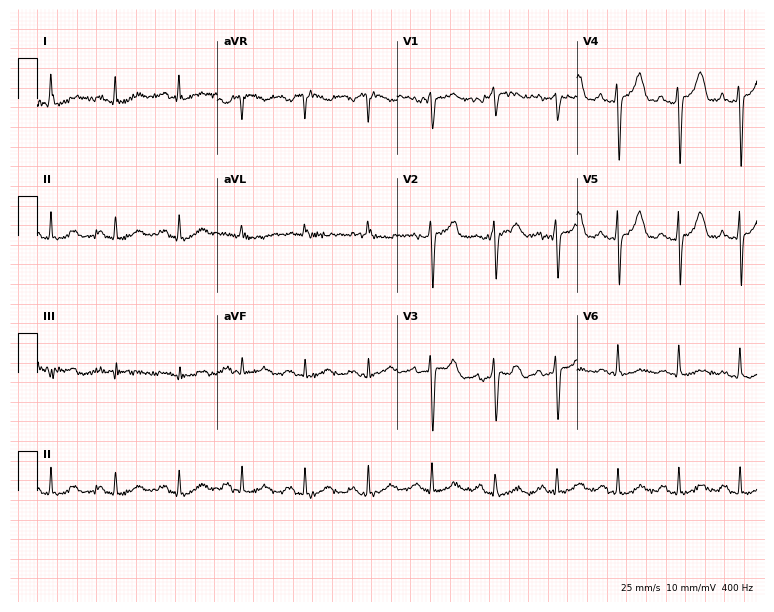
12-lead ECG from a female patient, 41 years old (7.3-second recording at 400 Hz). Recorded interpretation: within normal limits.